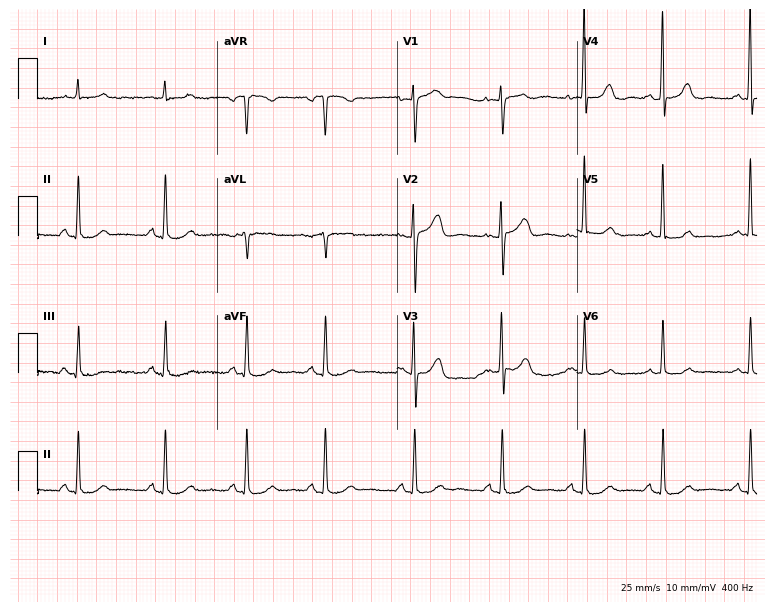
Standard 12-lead ECG recorded from a woman, 66 years old. Read as a normal ECG.